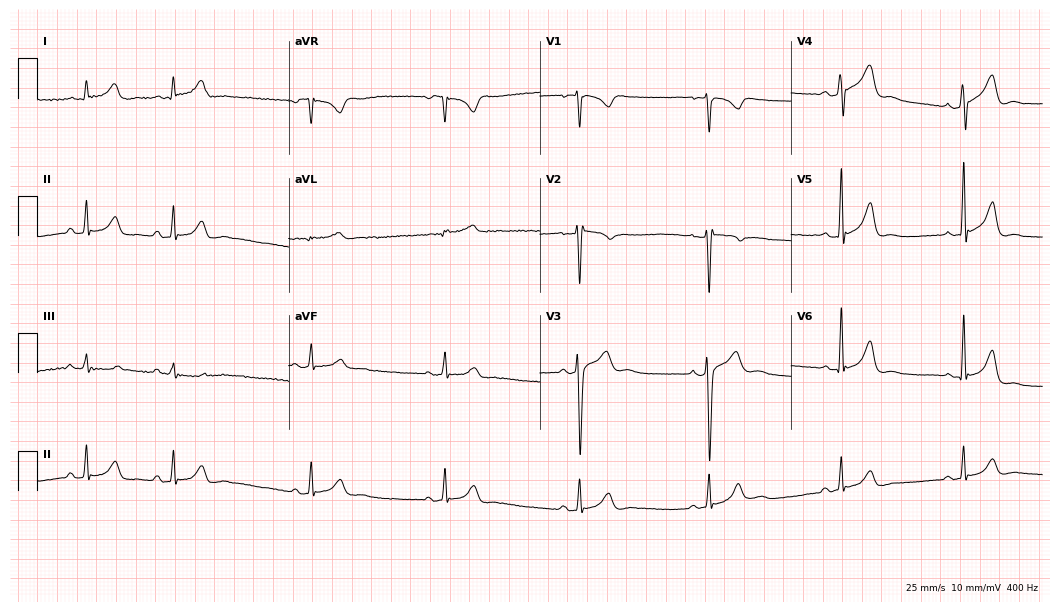
12-lead ECG from a 41-year-old male patient. Recorded interpretation: within normal limits.